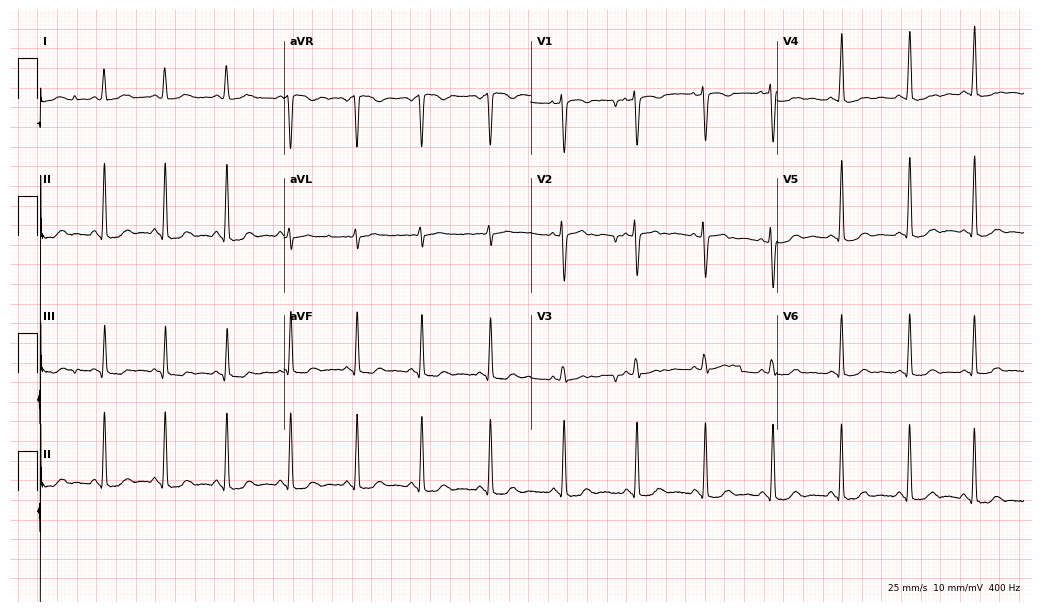
ECG (10.1-second recording at 400 Hz) — a 19-year-old female. Screened for six findings — first-degree AV block, right bundle branch block, left bundle branch block, sinus bradycardia, atrial fibrillation, sinus tachycardia — none is recorded. Only these six findings were labelled.